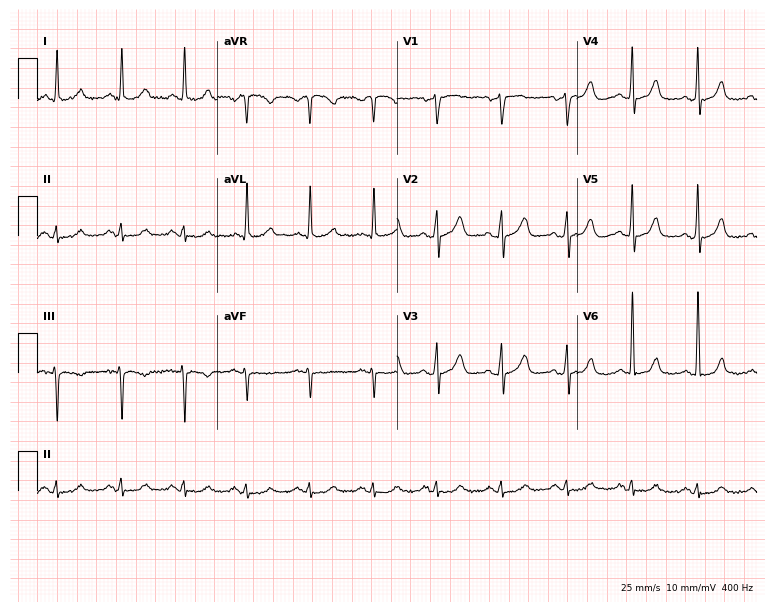
Resting 12-lead electrocardiogram (7.3-second recording at 400 Hz). Patient: an 82-year-old man. None of these six findings is recorded: first-degree AV block, right bundle branch block, left bundle branch block, sinus bradycardia, atrial fibrillation, sinus tachycardia.